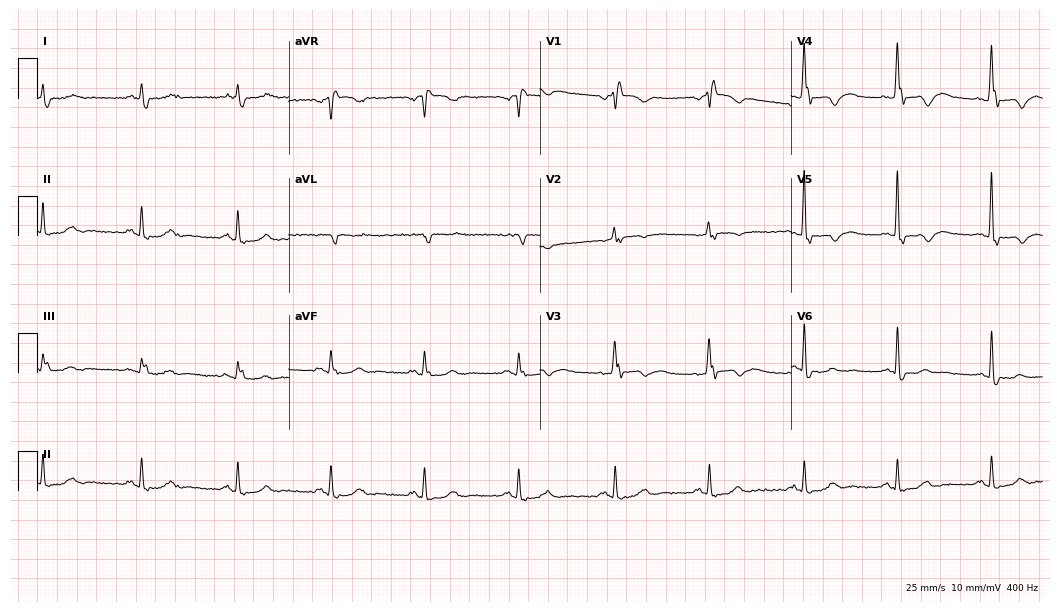
Electrocardiogram, an 82-year-old man. Of the six screened findings (first-degree AV block, right bundle branch block (RBBB), left bundle branch block (LBBB), sinus bradycardia, atrial fibrillation (AF), sinus tachycardia), none is recorded.